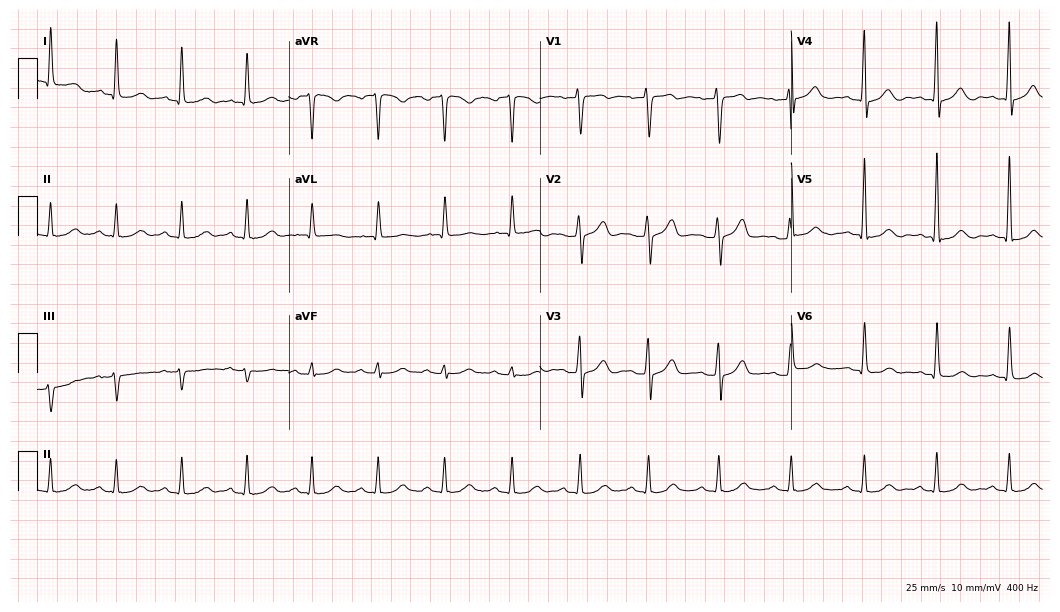
12-lead ECG (10.2-second recording at 400 Hz) from a male patient, 27 years old. Screened for six findings — first-degree AV block, right bundle branch block, left bundle branch block, sinus bradycardia, atrial fibrillation, sinus tachycardia — none is recorded. Only these six findings were labelled.